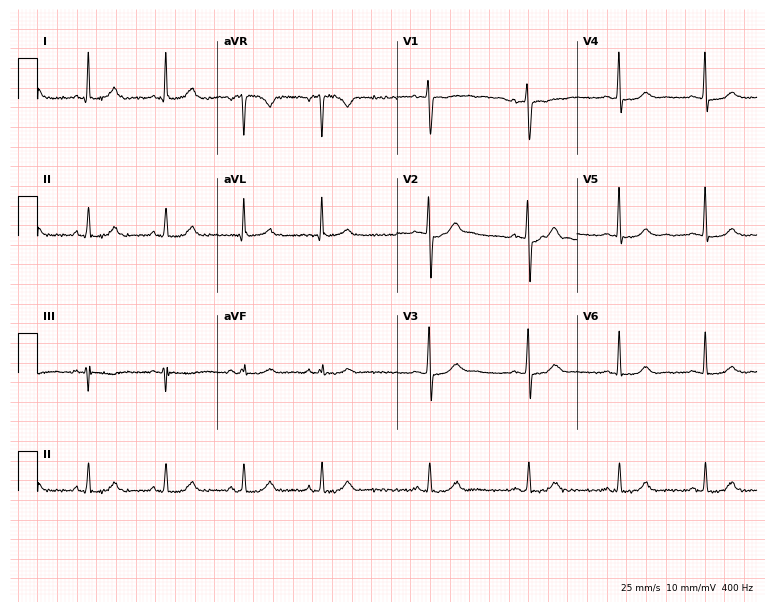
12-lead ECG (7.3-second recording at 400 Hz) from a 38-year-old woman. Labelled as a normal ECG.